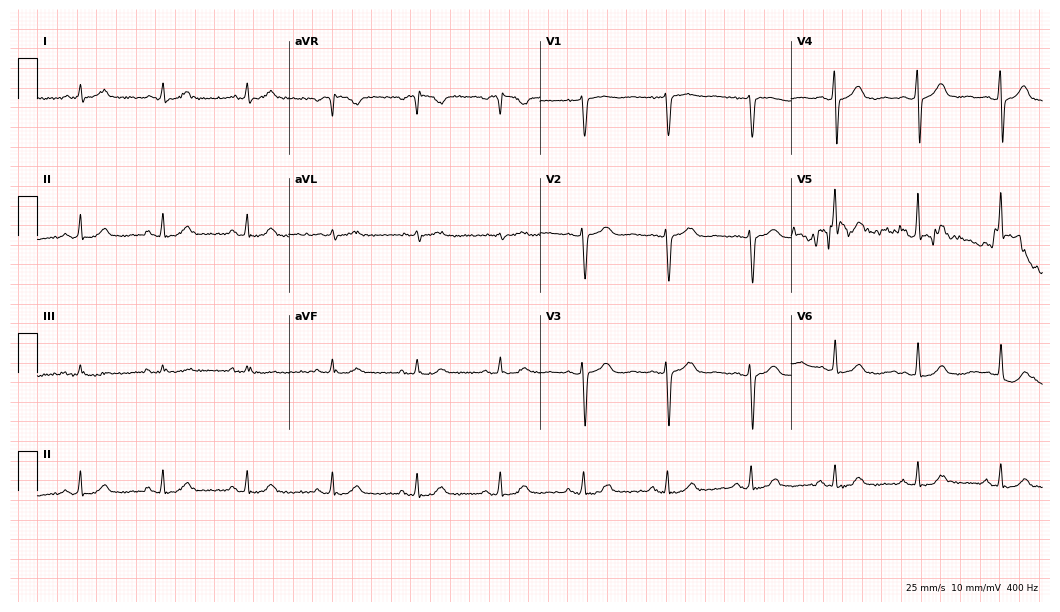
ECG — a female patient, 63 years old. Screened for six findings — first-degree AV block, right bundle branch block, left bundle branch block, sinus bradycardia, atrial fibrillation, sinus tachycardia — none is recorded.